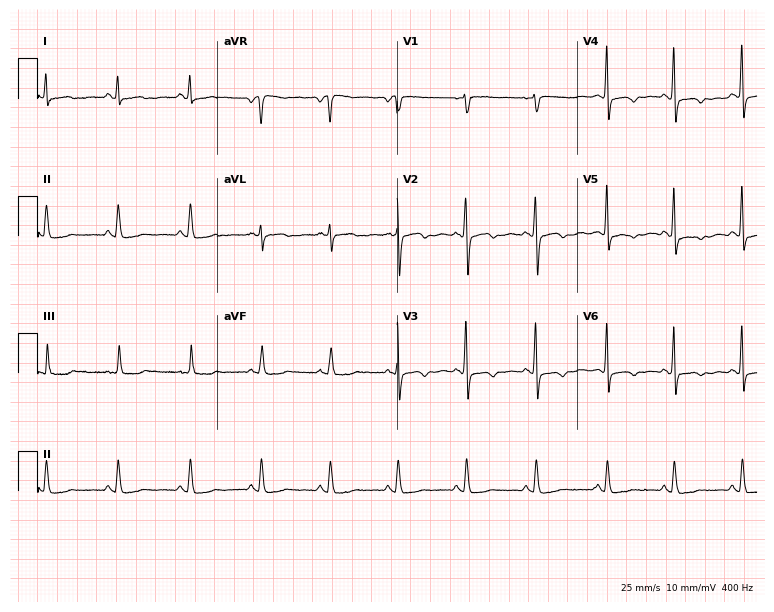
ECG — a 46-year-old female. Screened for six findings — first-degree AV block, right bundle branch block (RBBB), left bundle branch block (LBBB), sinus bradycardia, atrial fibrillation (AF), sinus tachycardia — none is recorded. Other findings, if any, are not listed.